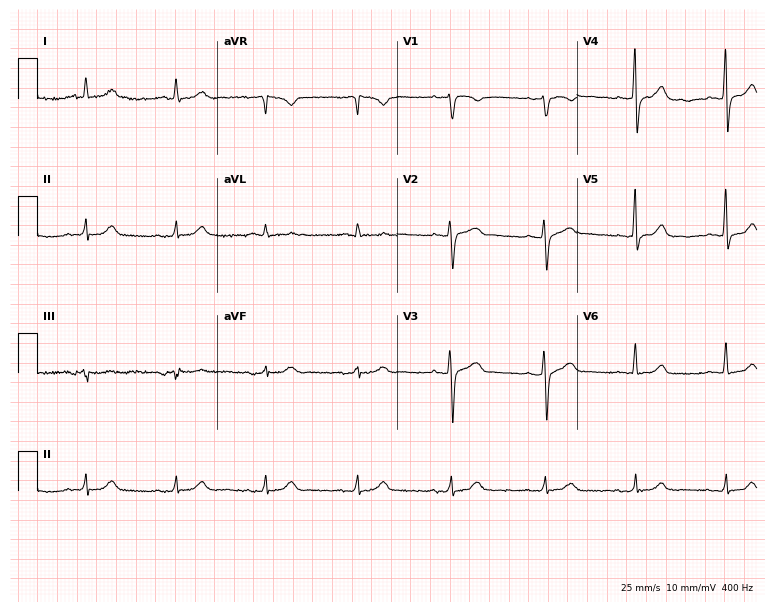
Electrocardiogram, a female patient, 65 years old. Overall reading on record: normal ECG.